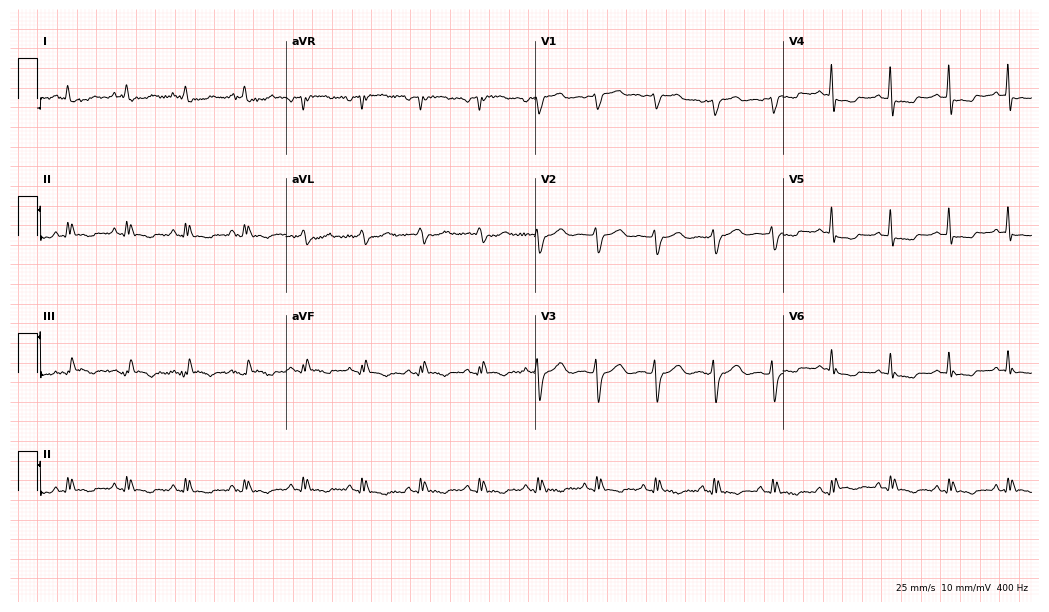
12-lead ECG (10.1-second recording at 400 Hz) from a woman, 55 years old. Findings include sinus tachycardia (a sinus rate of 100 beats per minute or more).